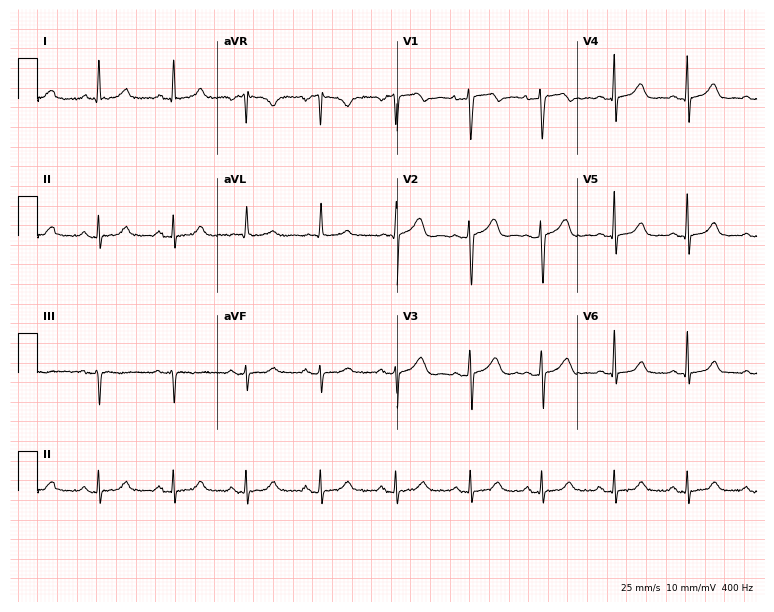
Standard 12-lead ECG recorded from a female patient, 49 years old (7.3-second recording at 400 Hz). Read as a normal ECG.